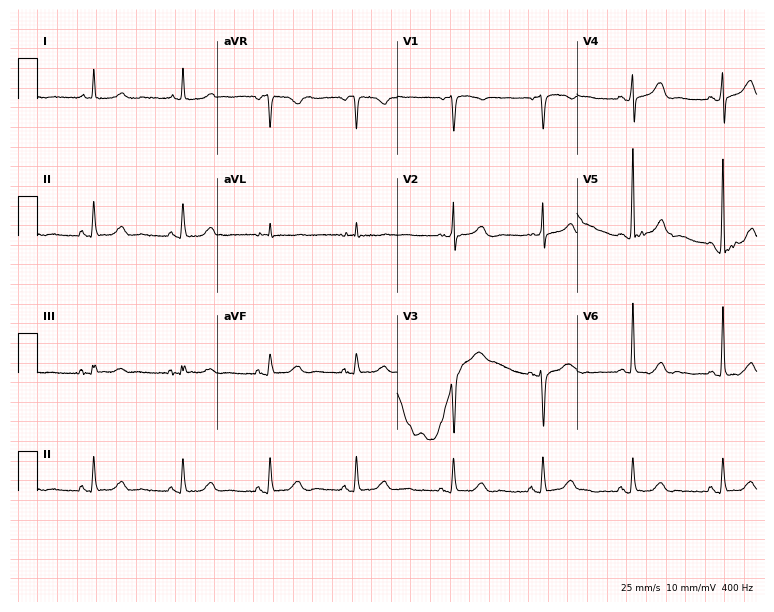
Electrocardiogram (7.3-second recording at 400 Hz), an 82-year-old woman. Of the six screened findings (first-degree AV block, right bundle branch block, left bundle branch block, sinus bradycardia, atrial fibrillation, sinus tachycardia), none is recorded.